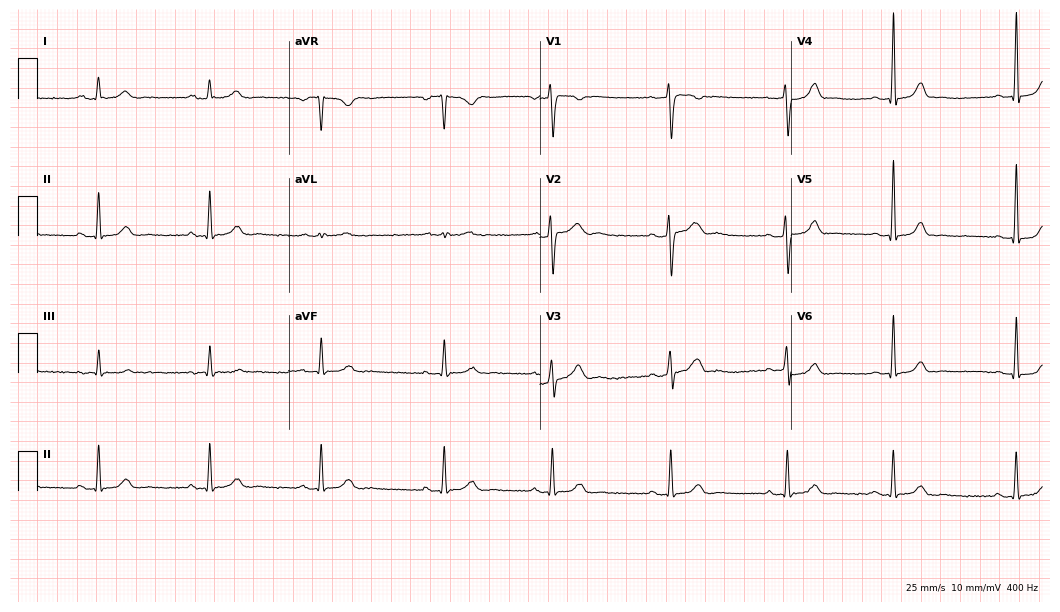
Resting 12-lead electrocardiogram (10.2-second recording at 400 Hz). Patient: a female, 33 years old. Read as a normal ECG.